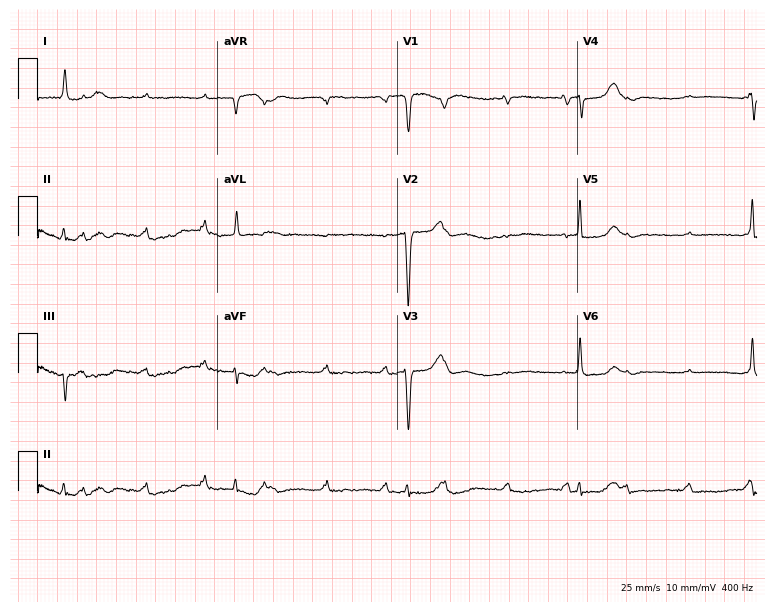
12-lead ECG from an 82-year-old female patient. Findings include first-degree AV block.